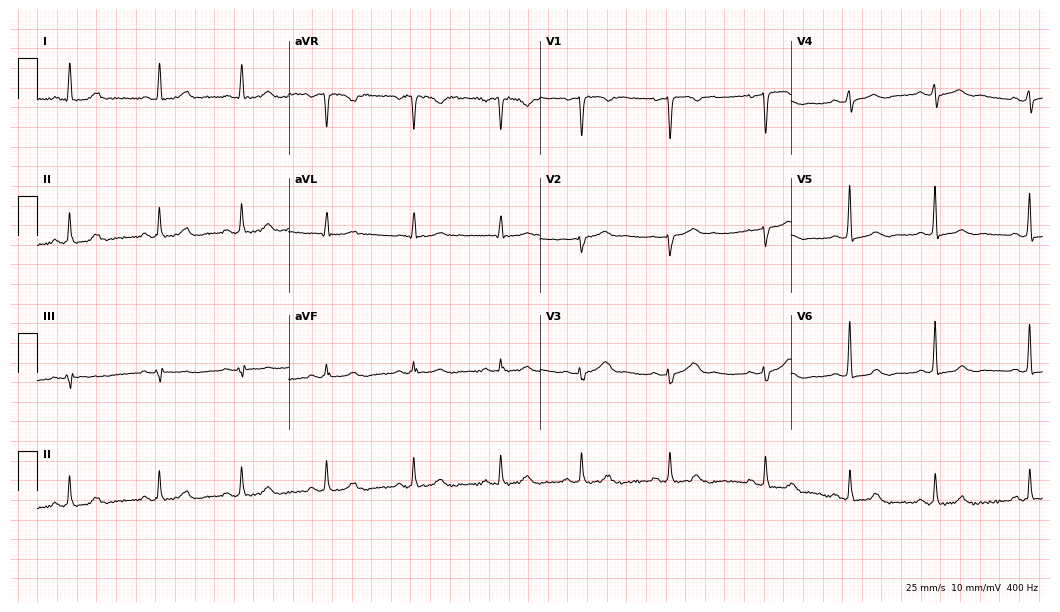
Standard 12-lead ECG recorded from a female patient, 38 years old (10.2-second recording at 400 Hz). Read as a normal ECG.